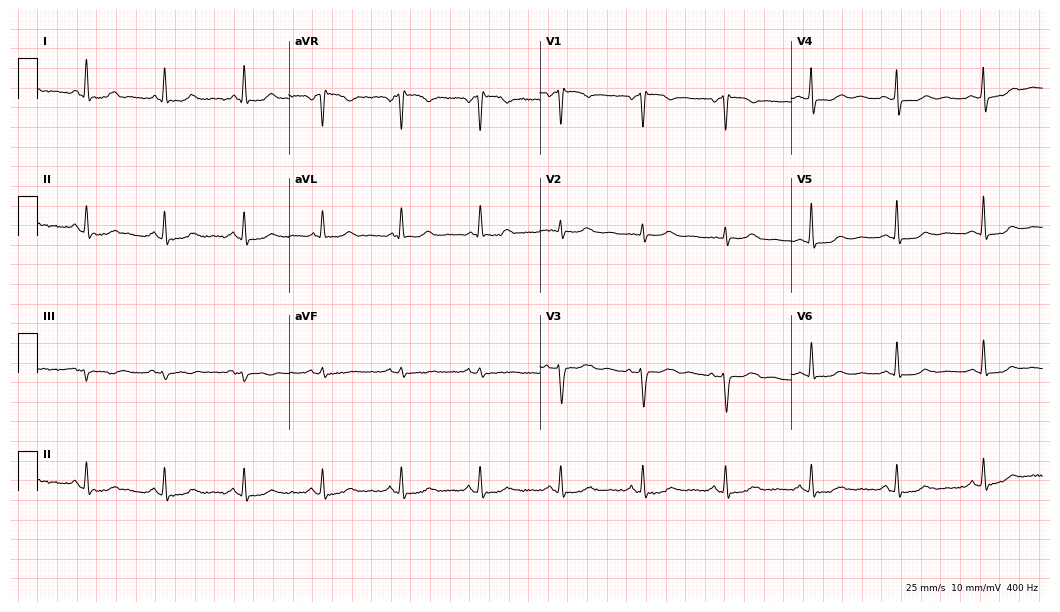
12-lead ECG (10.2-second recording at 400 Hz) from a female, 64 years old. Labelled as a normal ECG.